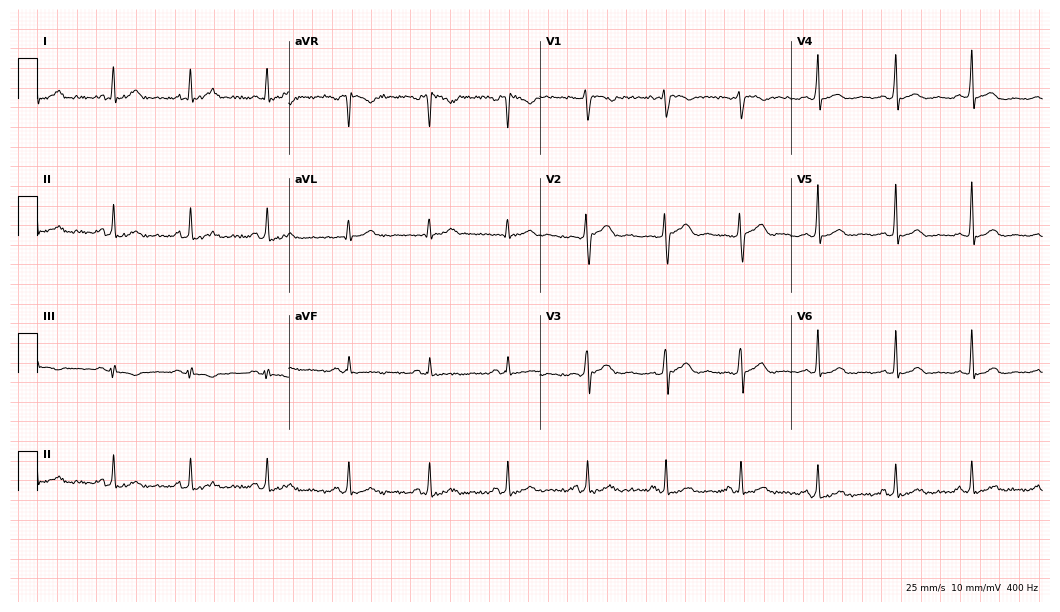
Standard 12-lead ECG recorded from a woman, 34 years old (10.2-second recording at 400 Hz). None of these six findings is recorded: first-degree AV block, right bundle branch block (RBBB), left bundle branch block (LBBB), sinus bradycardia, atrial fibrillation (AF), sinus tachycardia.